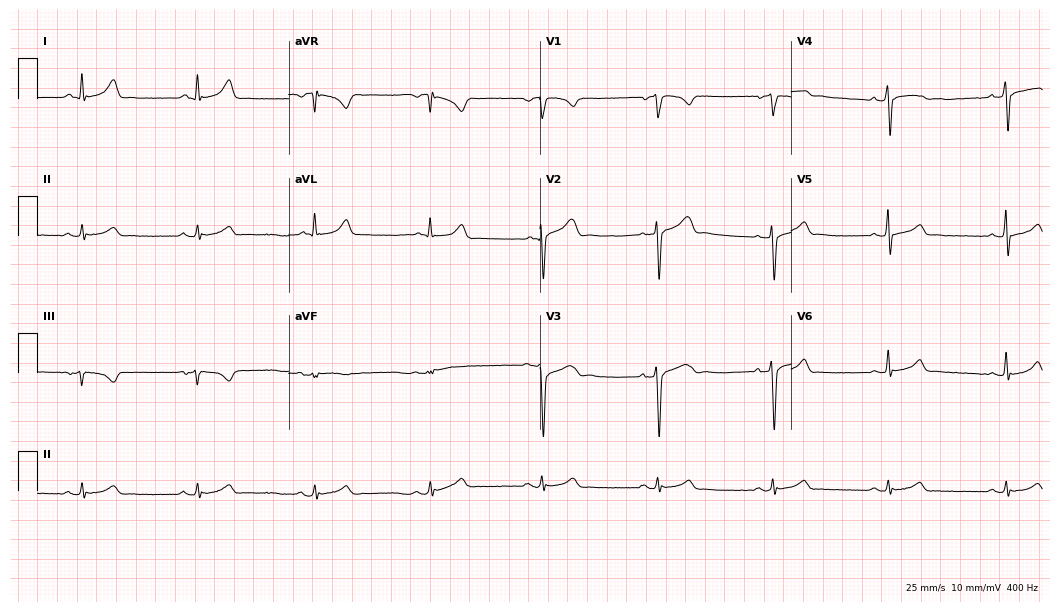
ECG (10.2-second recording at 400 Hz) — a 54-year-old man. Screened for six findings — first-degree AV block, right bundle branch block, left bundle branch block, sinus bradycardia, atrial fibrillation, sinus tachycardia — none is recorded. Findings outside these six are not listed.